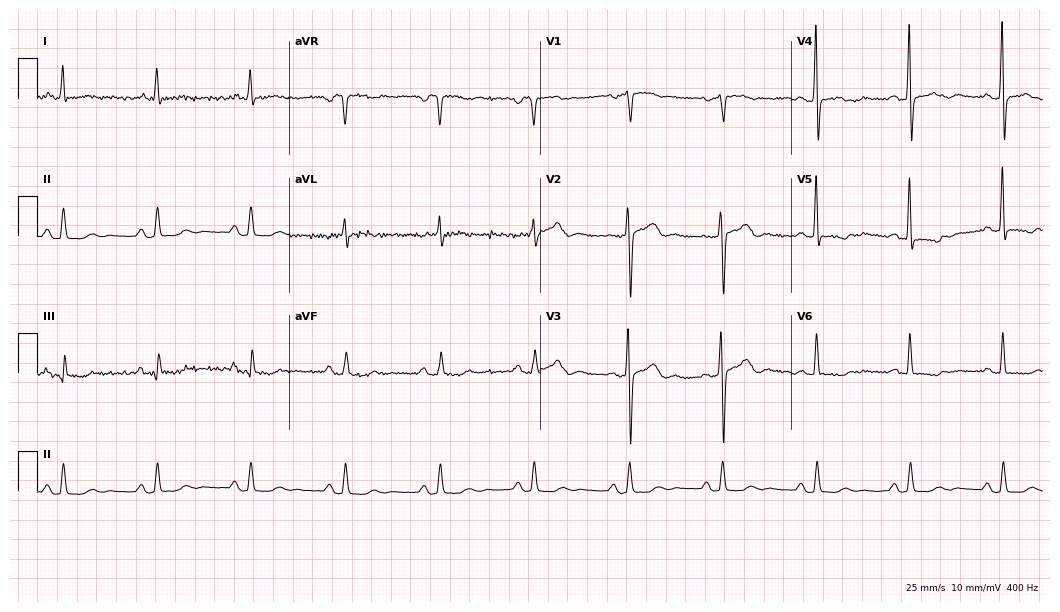
Resting 12-lead electrocardiogram (10.2-second recording at 400 Hz). Patient: a 70-year-old female. None of these six findings is recorded: first-degree AV block, right bundle branch block, left bundle branch block, sinus bradycardia, atrial fibrillation, sinus tachycardia. Other findings, if any, are not listed.